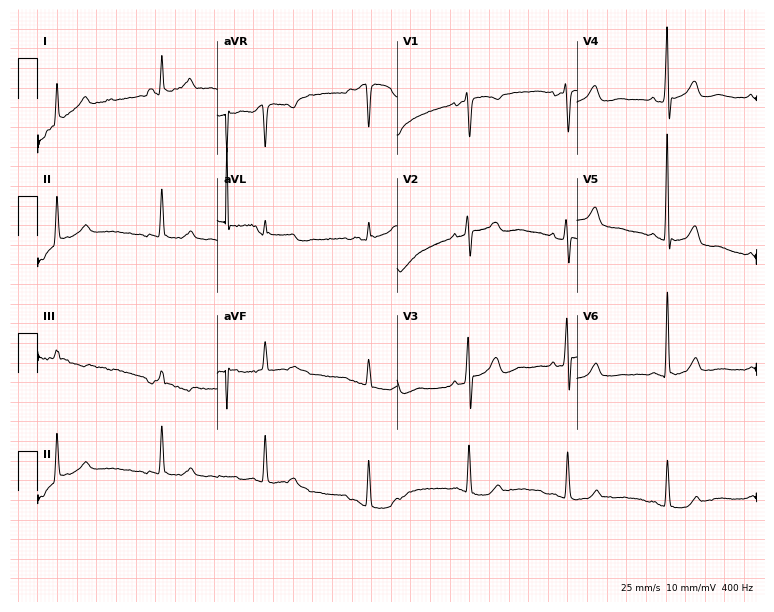
Standard 12-lead ECG recorded from a woman, 75 years old. None of these six findings is recorded: first-degree AV block, right bundle branch block, left bundle branch block, sinus bradycardia, atrial fibrillation, sinus tachycardia.